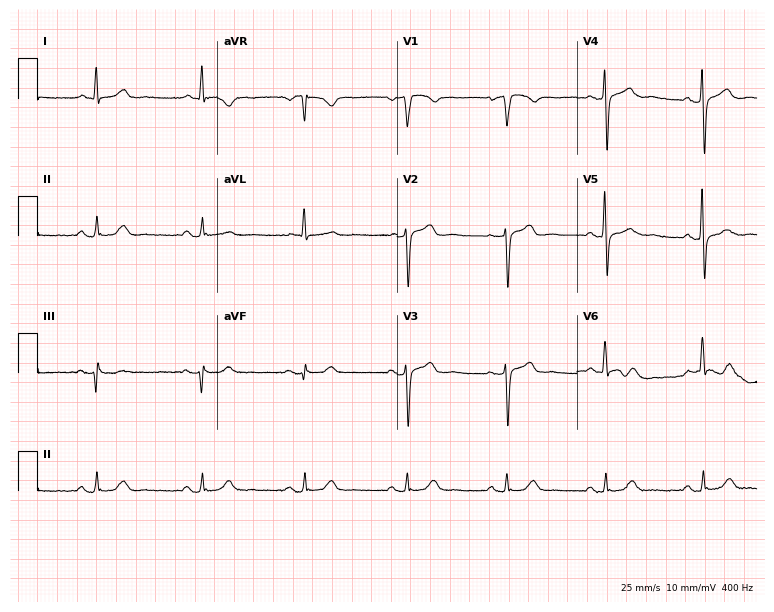
Standard 12-lead ECG recorded from a 79-year-old man (7.3-second recording at 400 Hz). None of these six findings is recorded: first-degree AV block, right bundle branch block, left bundle branch block, sinus bradycardia, atrial fibrillation, sinus tachycardia.